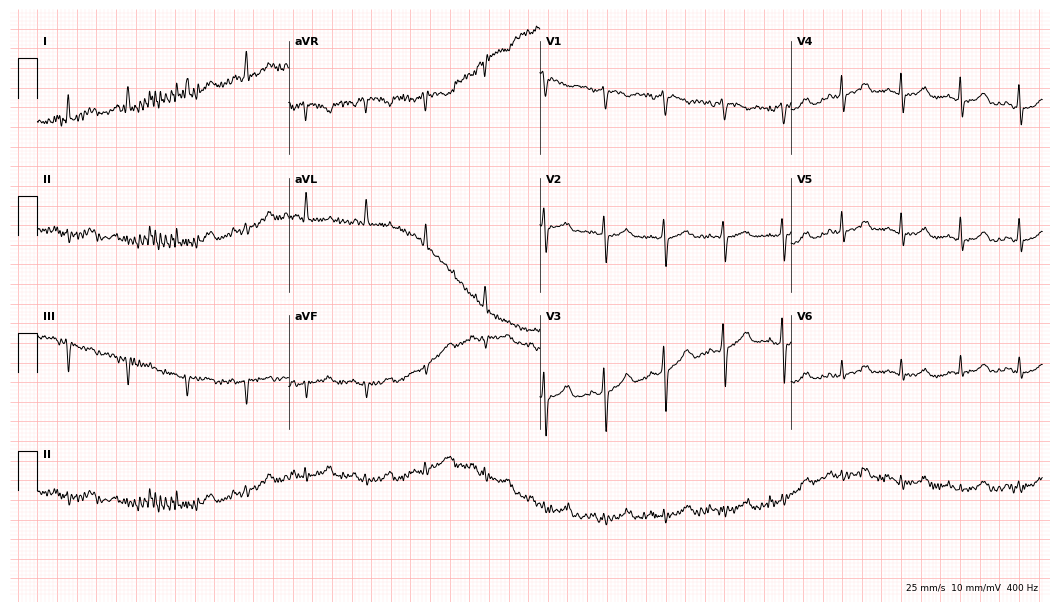
Resting 12-lead electrocardiogram (10.2-second recording at 400 Hz). Patient: a female, 78 years old. None of these six findings is recorded: first-degree AV block, right bundle branch block, left bundle branch block, sinus bradycardia, atrial fibrillation, sinus tachycardia. Other findings, if any, are not listed.